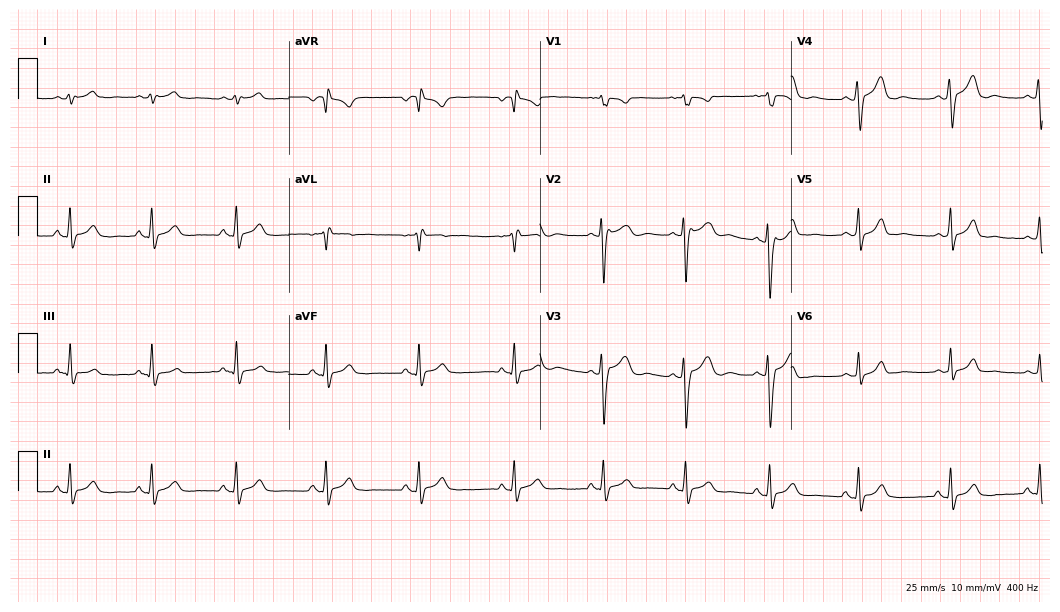
Standard 12-lead ECG recorded from a man, 23 years old (10.2-second recording at 400 Hz). Read as a normal ECG.